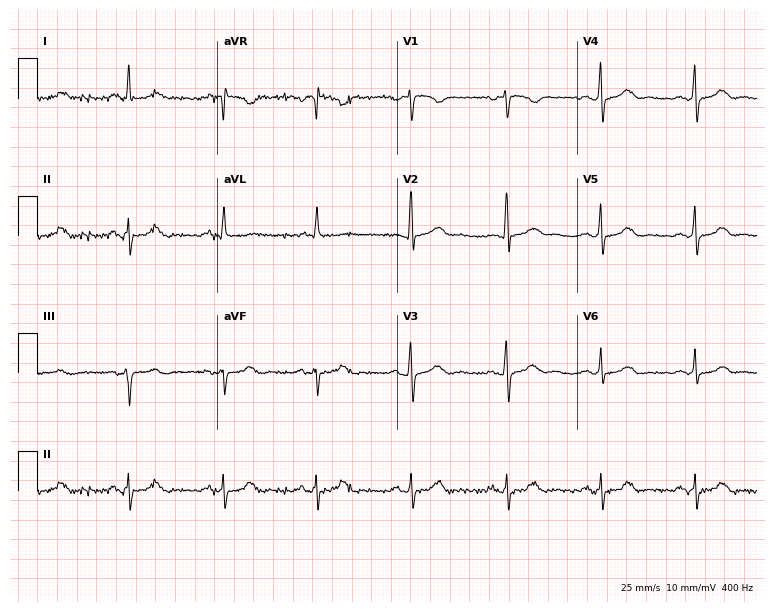
Electrocardiogram (7.3-second recording at 400 Hz), a 62-year-old female. Overall reading on record: normal ECG.